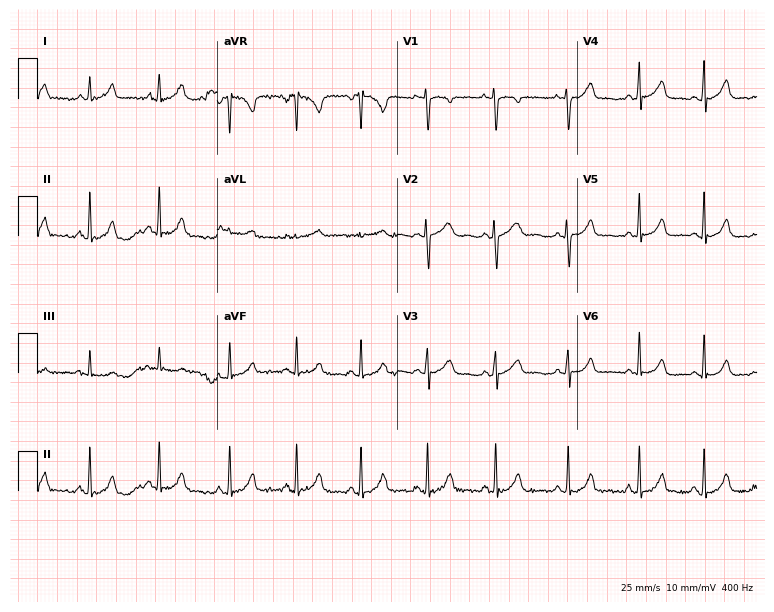
Electrocardiogram (7.3-second recording at 400 Hz), a female, 23 years old. Of the six screened findings (first-degree AV block, right bundle branch block (RBBB), left bundle branch block (LBBB), sinus bradycardia, atrial fibrillation (AF), sinus tachycardia), none is recorded.